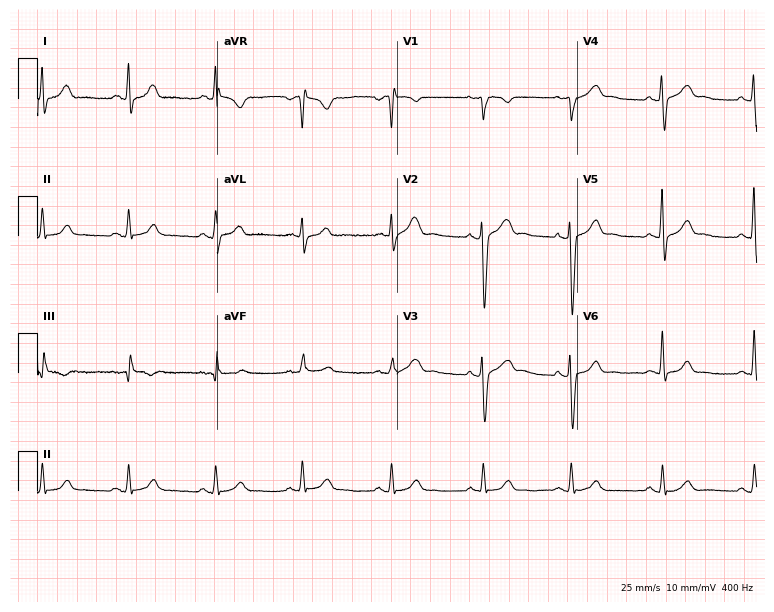
Electrocardiogram (7.3-second recording at 400 Hz), a man, 36 years old. Overall reading on record: normal ECG.